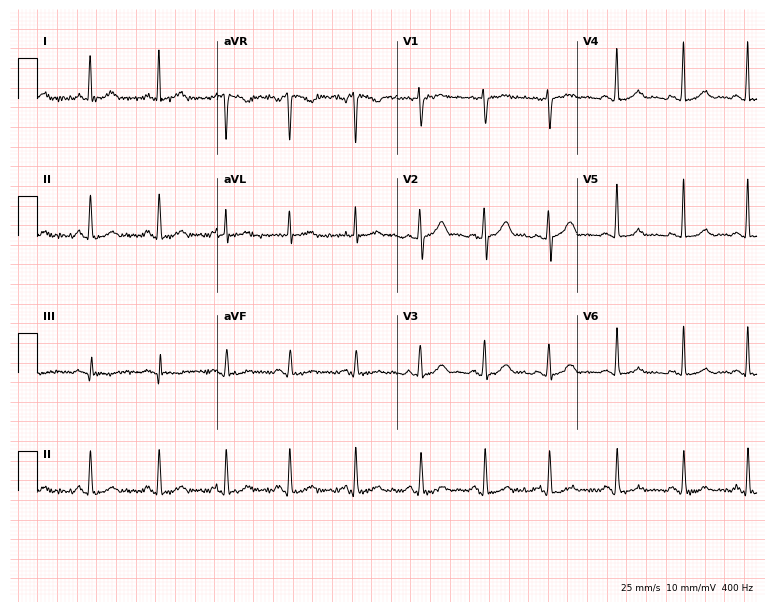
Standard 12-lead ECG recorded from a 29-year-old male. None of these six findings is recorded: first-degree AV block, right bundle branch block (RBBB), left bundle branch block (LBBB), sinus bradycardia, atrial fibrillation (AF), sinus tachycardia. Findings outside these six are not listed.